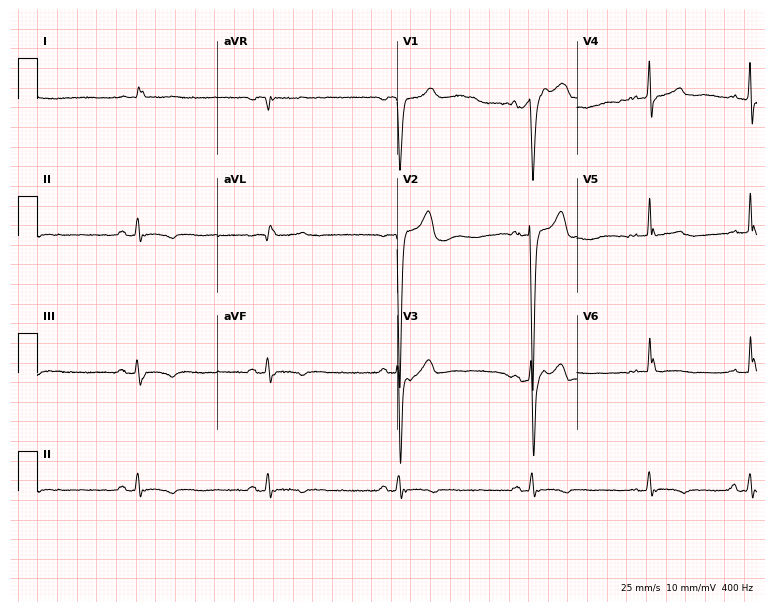
12-lead ECG from a male patient, 54 years old. No first-degree AV block, right bundle branch block, left bundle branch block, sinus bradycardia, atrial fibrillation or sinus tachycardia recorded for this tracing. Other findings, if any, are not listed.